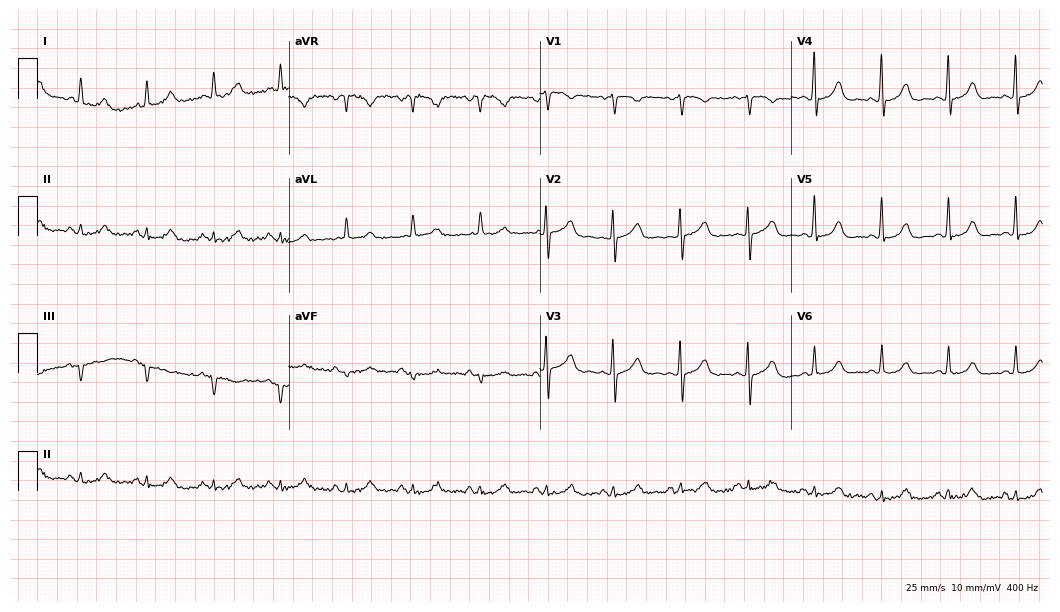
Standard 12-lead ECG recorded from a 74-year-old female (10.2-second recording at 400 Hz). None of these six findings is recorded: first-degree AV block, right bundle branch block, left bundle branch block, sinus bradycardia, atrial fibrillation, sinus tachycardia.